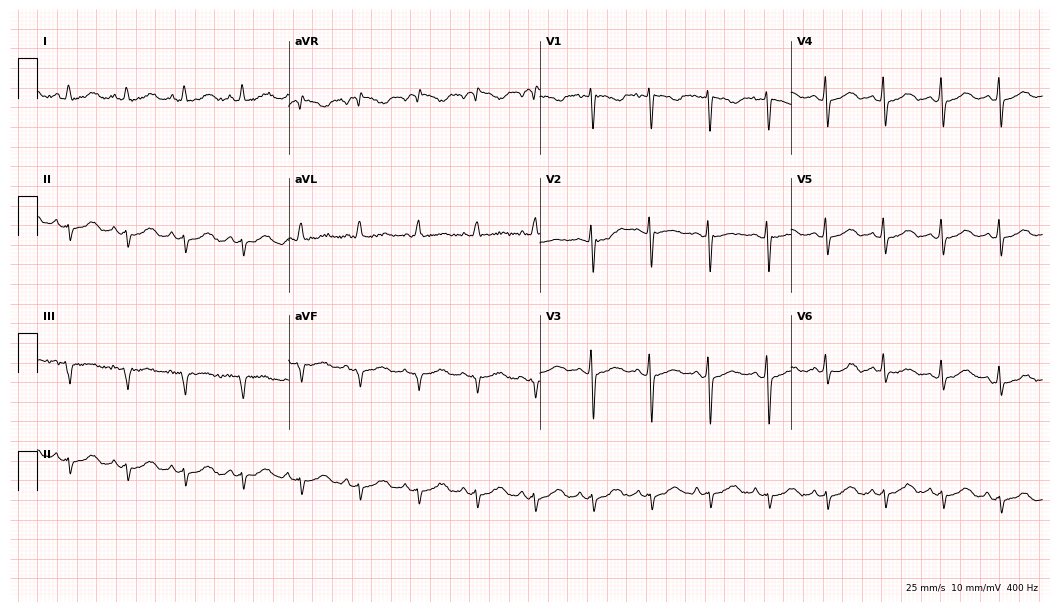
12-lead ECG (10.2-second recording at 400 Hz) from a 47-year-old female. Screened for six findings — first-degree AV block, right bundle branch block, left bundle branch block, sinus bradycardia, atrial fibrillation, sinus tachycardia — none is recorded.